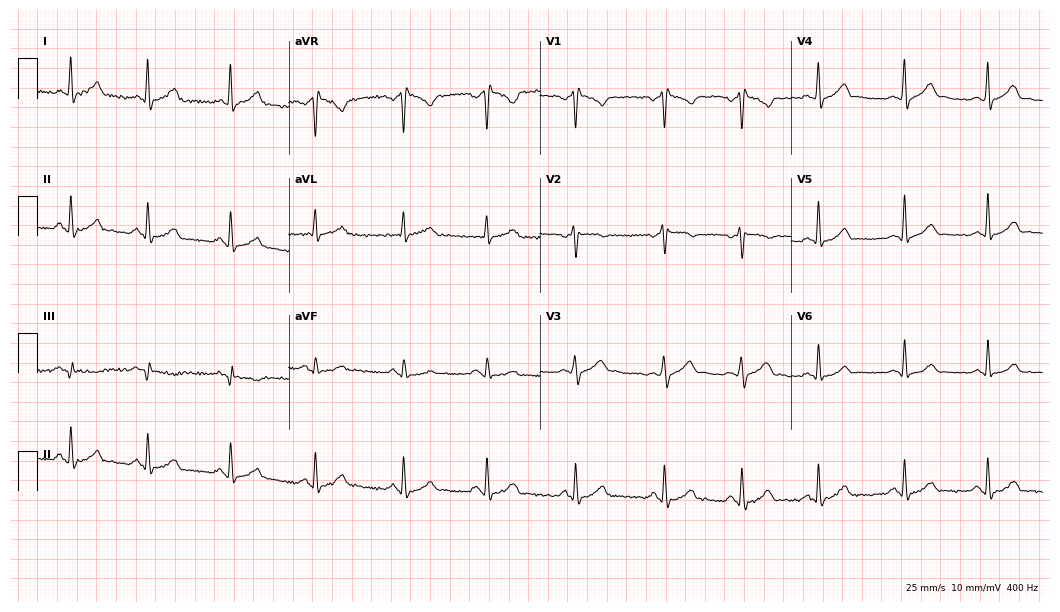
12-lead ECG from a male, 23 years old. No first-degree AV block, right bundle branch block, left bundle branch block, sinus bradycardia, atrial fibrillation or sinus tachycardia recorded for this tracing. Findings outside these six are not listed.